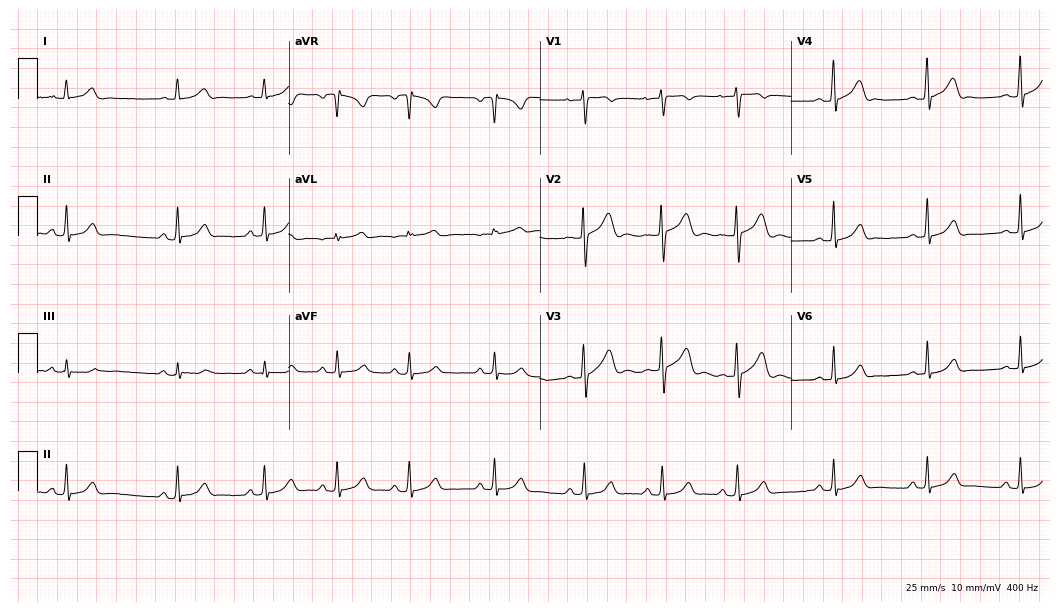
Electrocardiogram (10.2-second recording at 400 Hz), a woman, 19 years old. Overall reading on record: normal ECG.